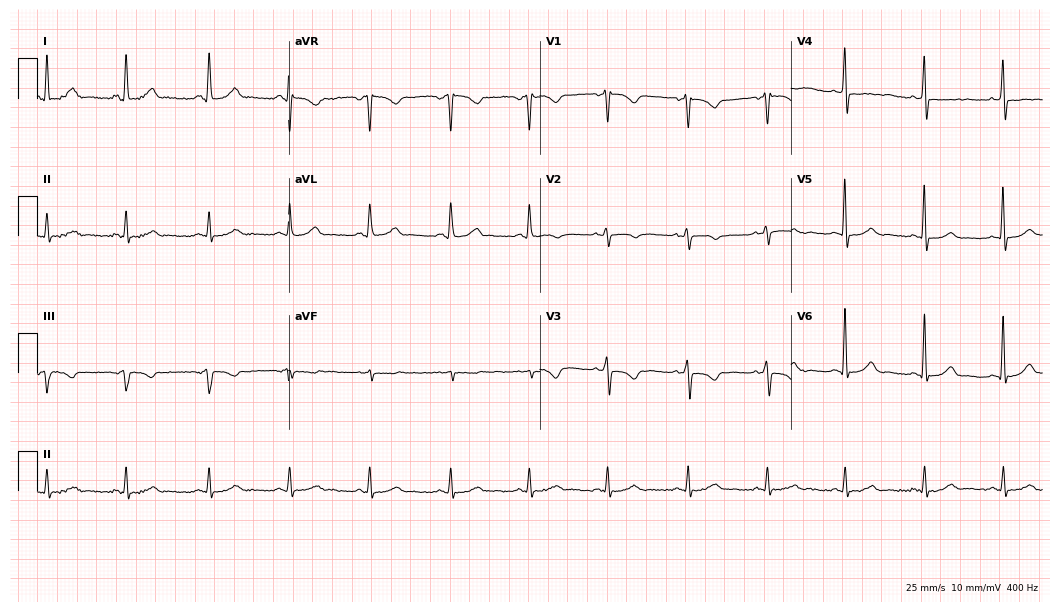
12-lead ECG from a 36-year-old woman. Labelled as a normal ECG.